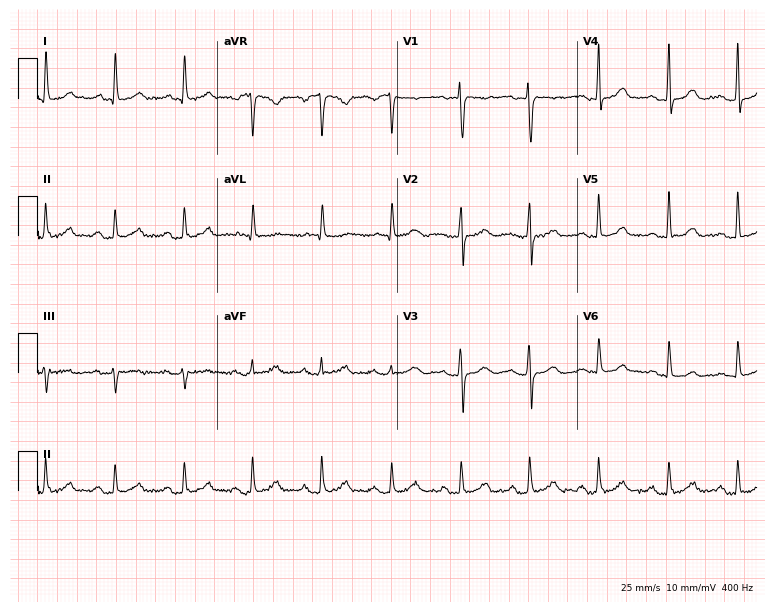
Electrocardiogram, a woman, 75 years old. Overall reading on record: normal ECG.